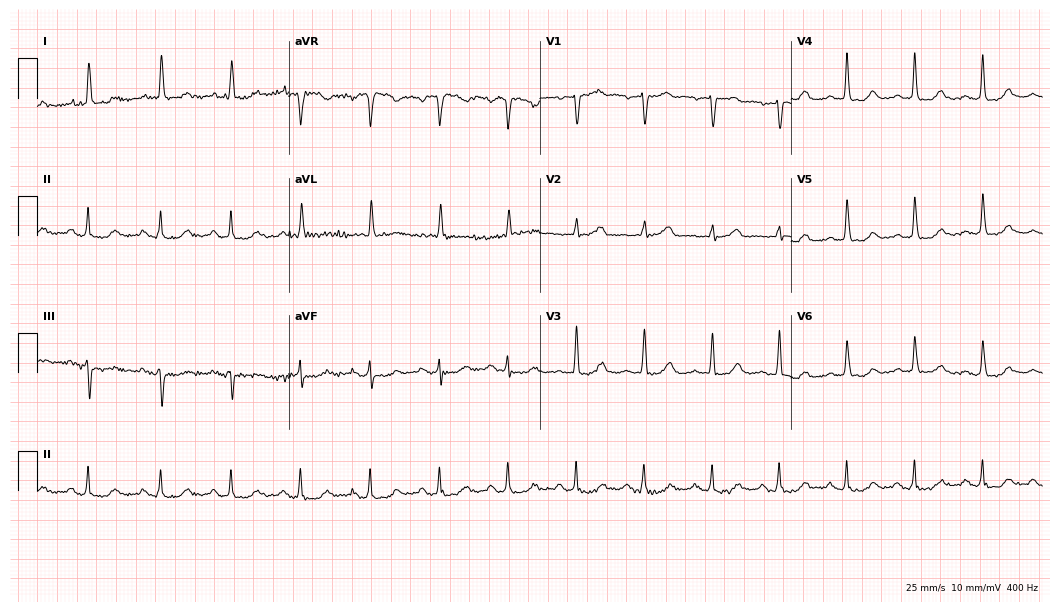
Electrocardiogram, a female patient, 74 years old. Of the six screened findings (first-degree AV block, right bundle branch block, left bundle branch block, sinus bradycardia, atrial fibrillation, sinus tachycardia), none is recorded. Other findings, if any, are not listed.